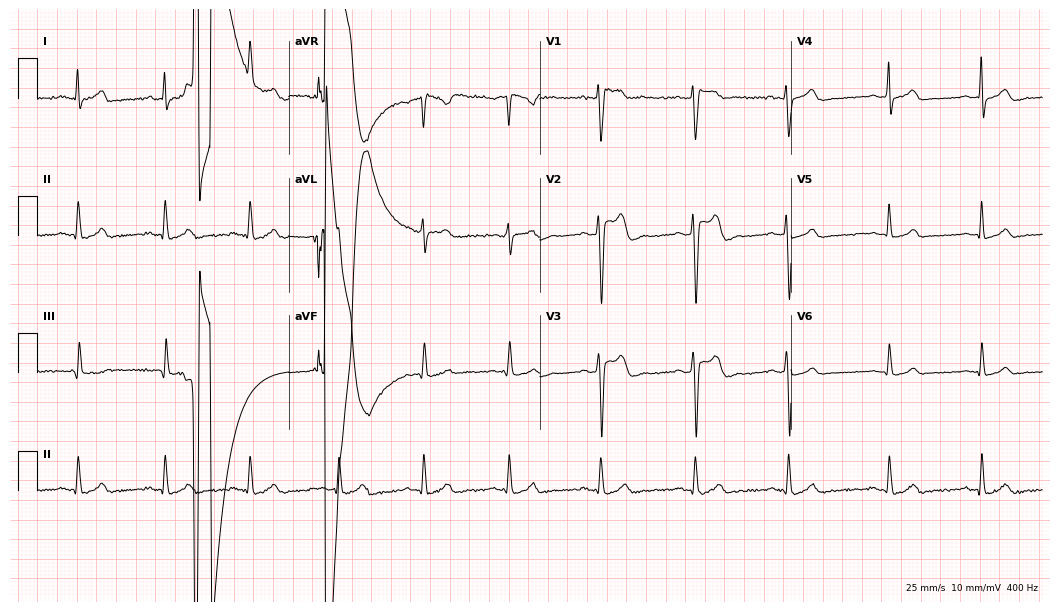
12-lead ECG from a 30-year-old male (10.2-second recording at 400 Hz). Recorded interpretation: within normal limits.